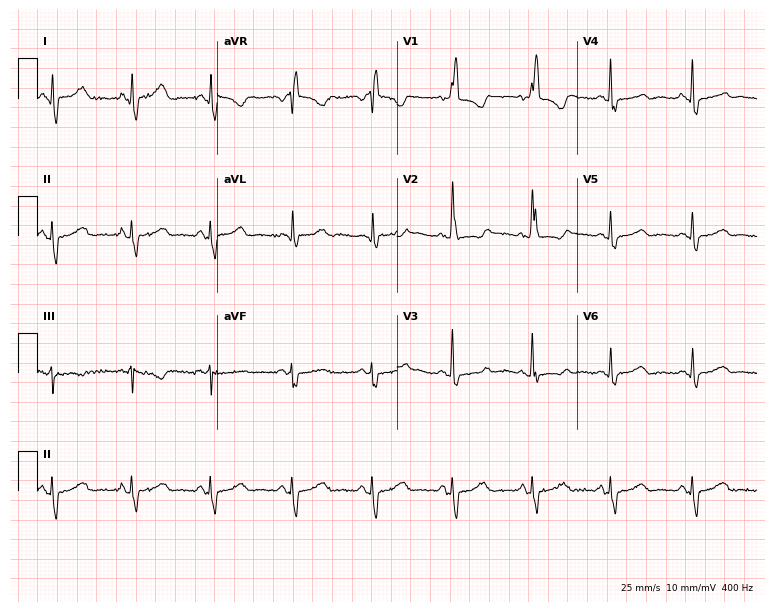
12-lead ECG from a 56-year-old female. No first-degree AV block, right bundle branch block, left bundle branch block, sinus bradycardia, atrial fibrillation or sinus tachycardia recorded for this tracing.